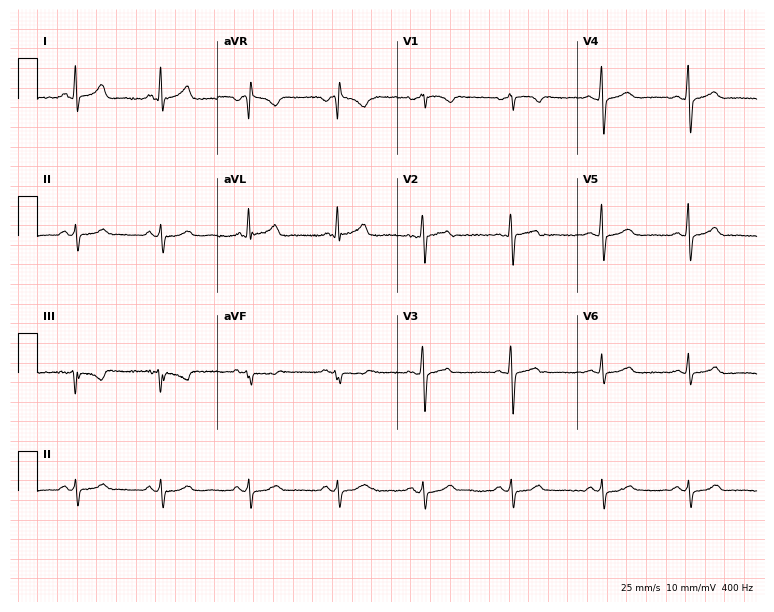
ECG — a female patient, 55 years old. Labelled as a normal ECG.